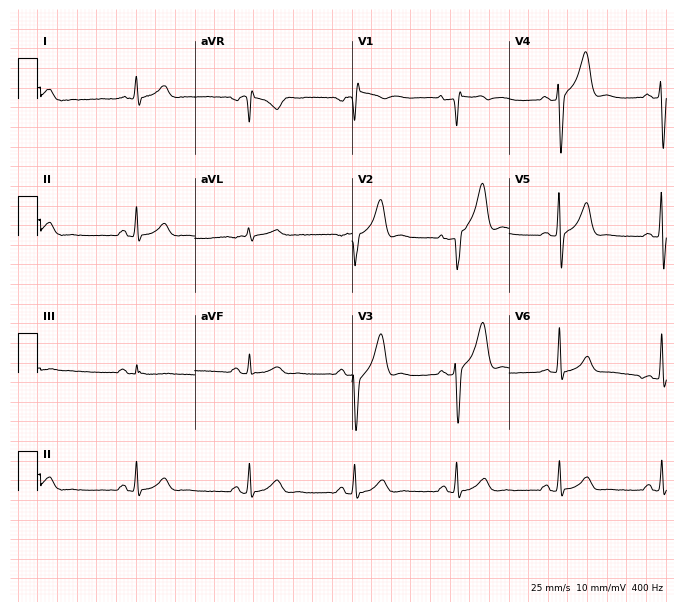
Resting 12-lead electrocardiogram (6.4-second recording at 400 Hz). Patient: a man, 61 years old. Read as a normal ECG.